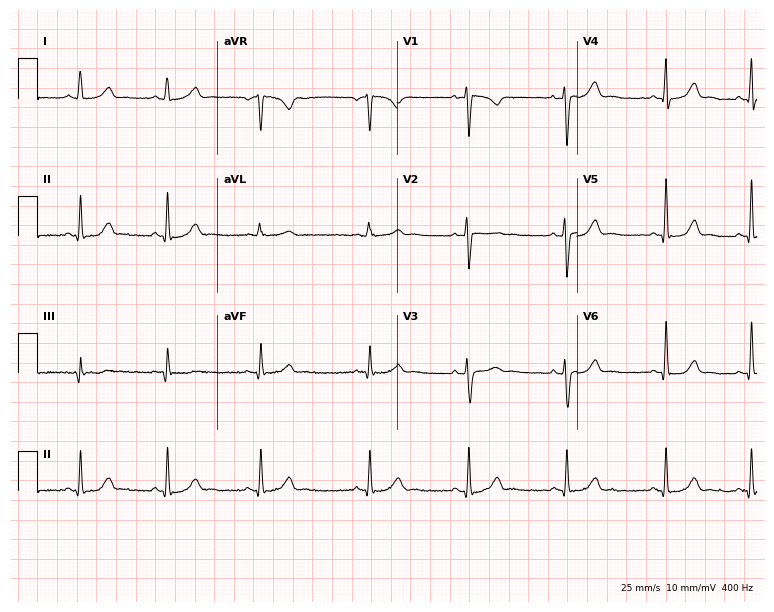
12-lead ECG from a female, 34 years old. Labelled as a normal ECG.